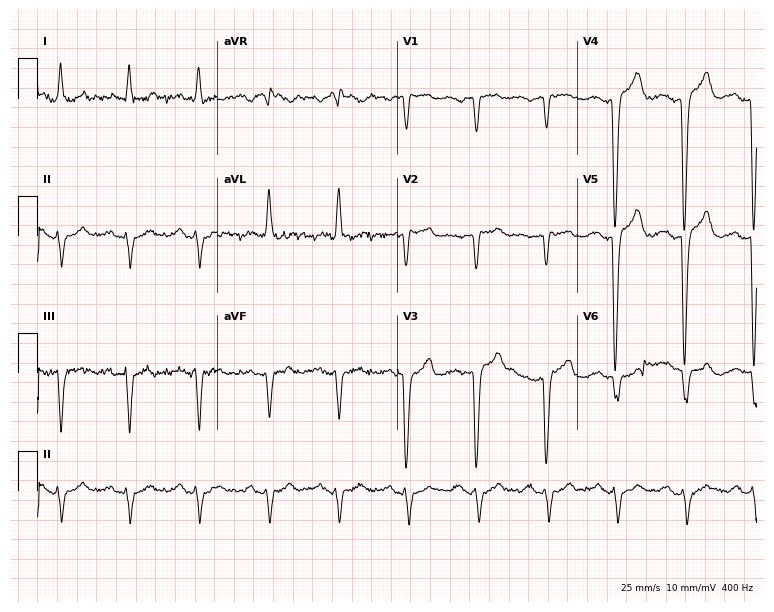
Electrocardiogram, a woman, 81 years old. Interpretation includes left bundle branch block.